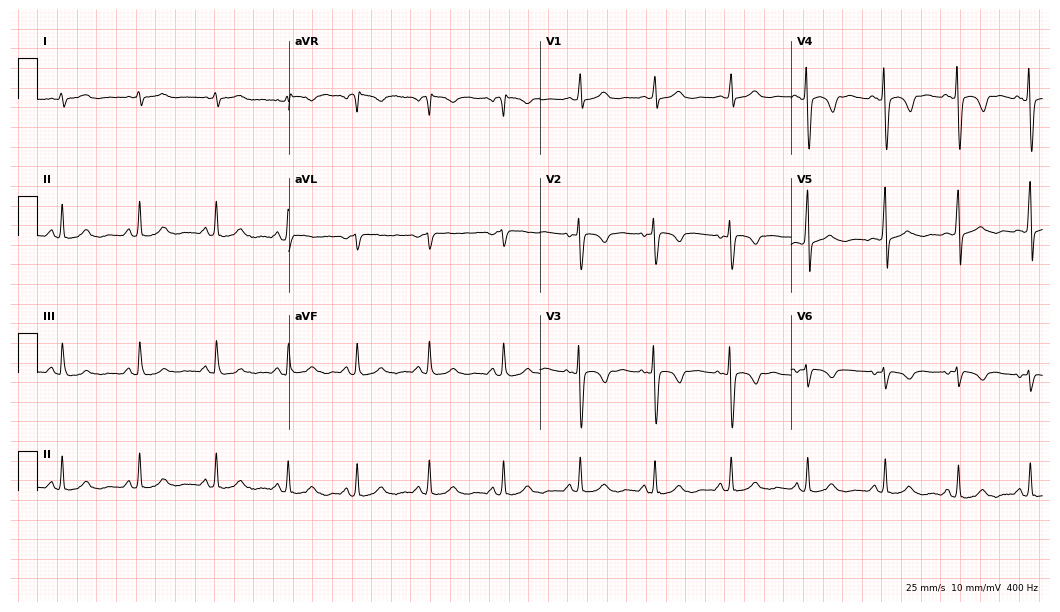
Standard 12-lead ECG recorded from a woman, 22 years old. None of these six findings is recorded: first-degree AV block, right bundle branch block (RBBB), left bundle branch block (LBBB), sinus bradycardia, atrial fibrillation (AF), sinus tachycardia. Findings outside these six are not listed.